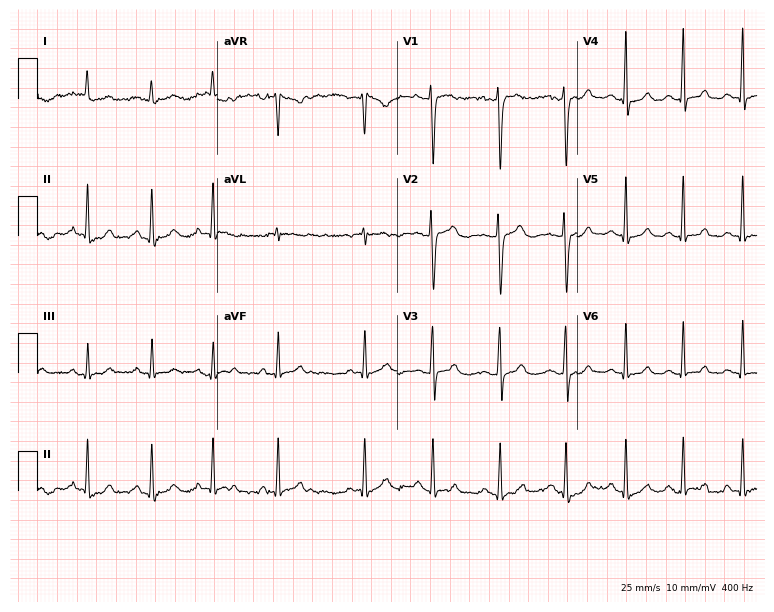
ECG — a female, 22 years old. Labelled as a normal ECG.